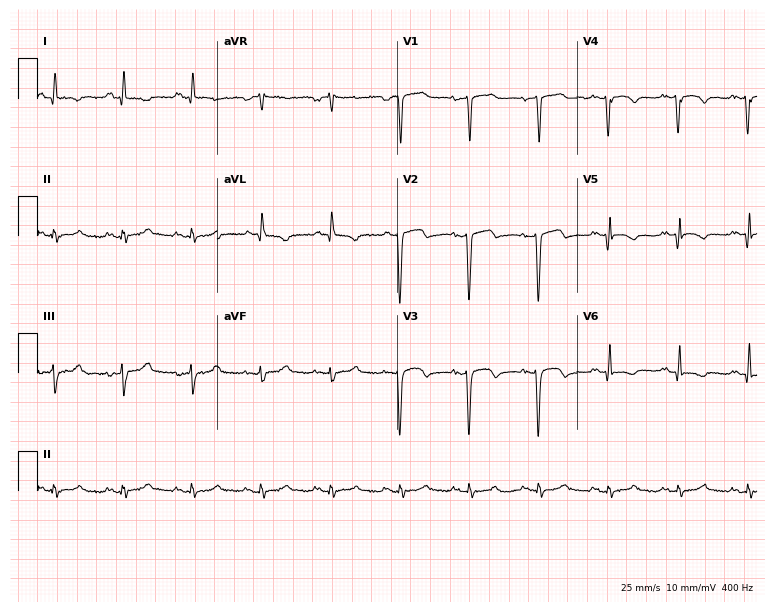
12-lead ECG from a 79-year-old female (7.3-second recording at 400 Hz). No first-degree AV block, right bundle branch block, left bundle branch block, sinus bradycardia, atrial fibrillation or sinus tachycardia recorded for this tracing. Findings outside these six are not listed.